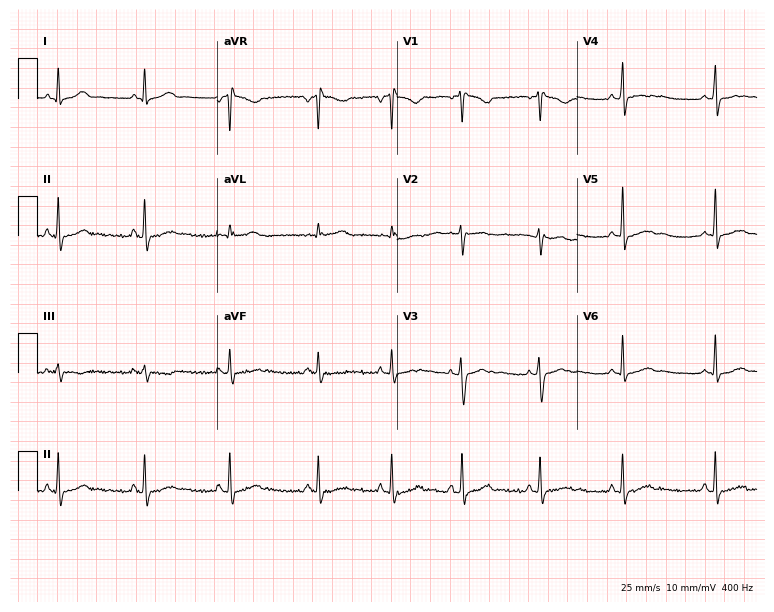
12-lead ECG (7.3-second recording at 400 Hz) from a 33-year-old female. Screened for six findings — first-degree AV block, right bundle branch block, left bundle branch block, sinus bradycardia, atrial fibrillation, sinus tachycardia — none is recorded. Findings outside these six are not listed.